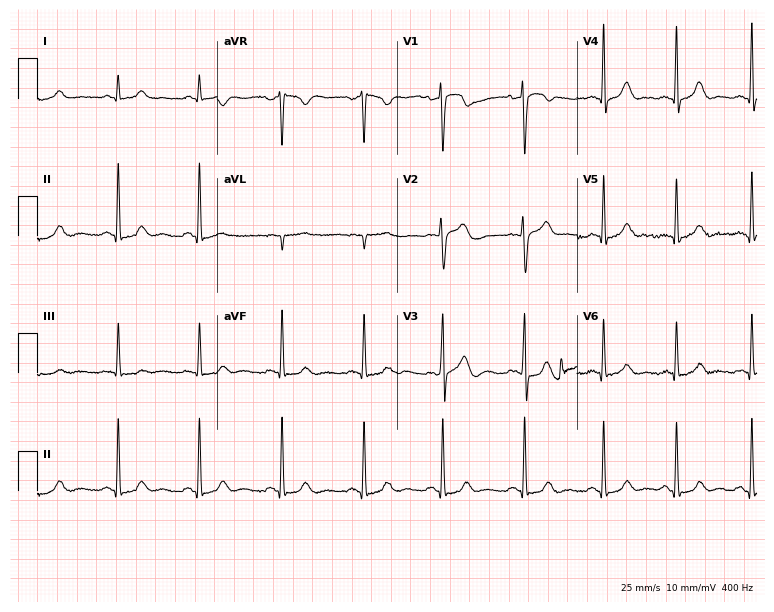
12-lead ECG from a woman, 28 years old. No first-degree AV block, right bundle branch block, left bundle branch block, sinus bradycardia, atrial fibrillation or sinus tachycardia recorded for this tracing.